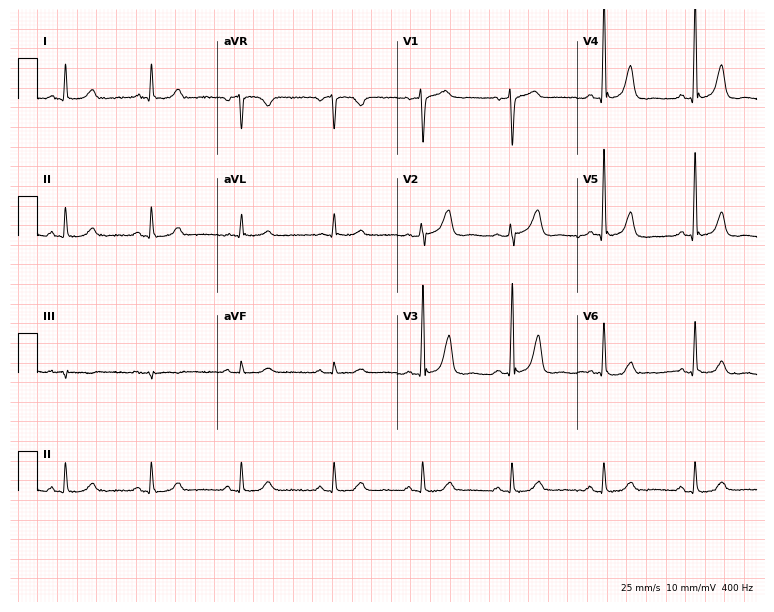
Standard 12-lead ECG recorded from a 64-year-old man (7.3-second recording at 400 Hz). None of these six findings is recorded: first-degree AV block, right bundle branch block, left bundle branch block, sinus bradycardia, atrial fibrillation, sinus tachycardia. Other findings, if any, are not listed.